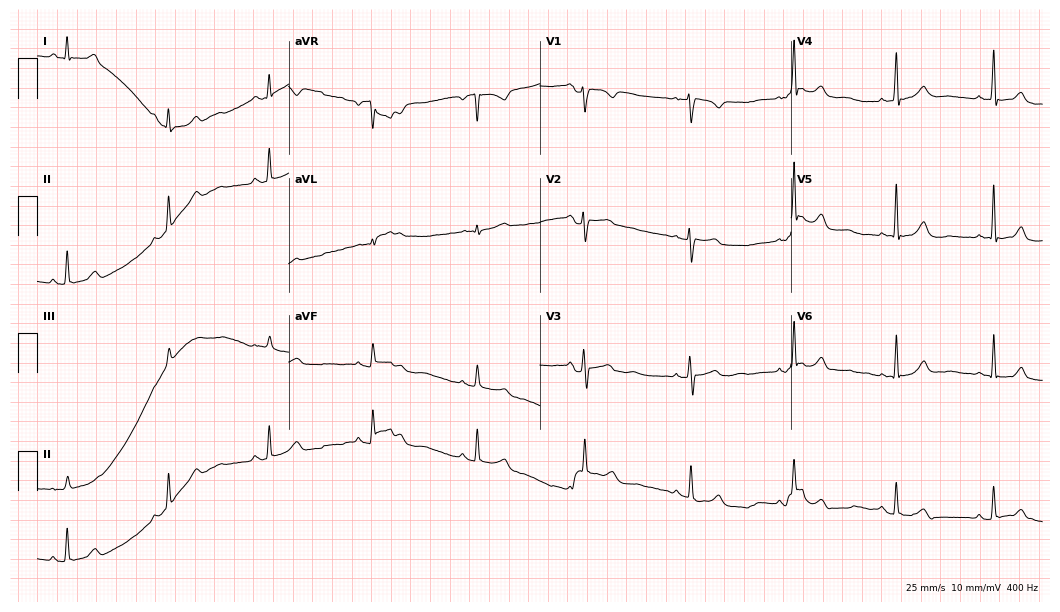
12-lead ECG (10.2-second recording at 400 Hz) from a female patient, 32 years old. Screened for six findings — first-degree AV block, right bundle branch block, left bundle branch block, sinus bradycardia, atrial fibrillation, sinus tachycardia — none is recorded. Other findings, if any, are not listed.